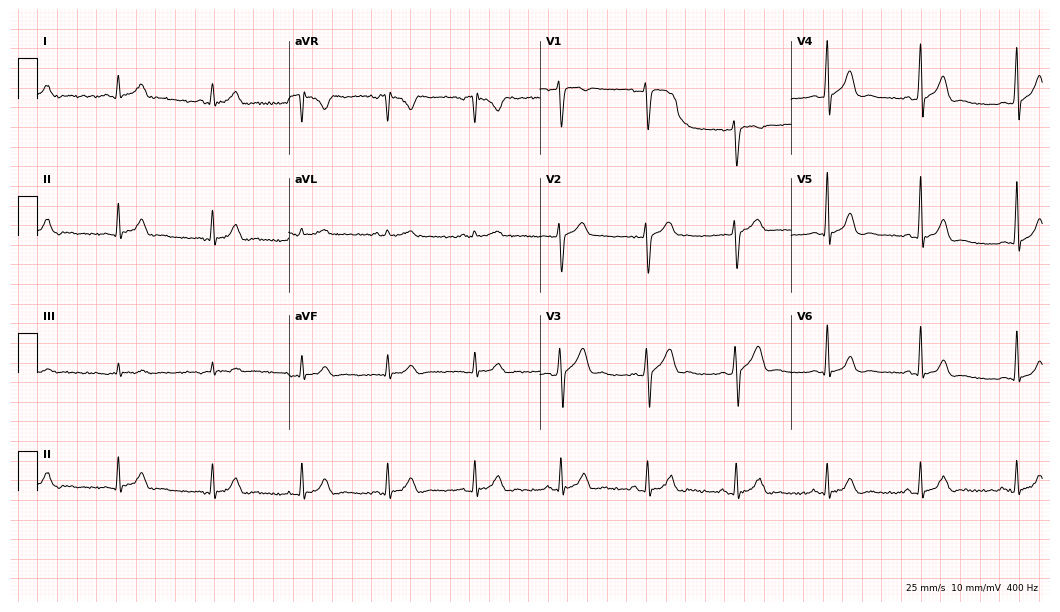
12-lead ECG from a male, 41 years old (10.2-second recording at 400 Hz). Recorded interpretation: within normal limits.